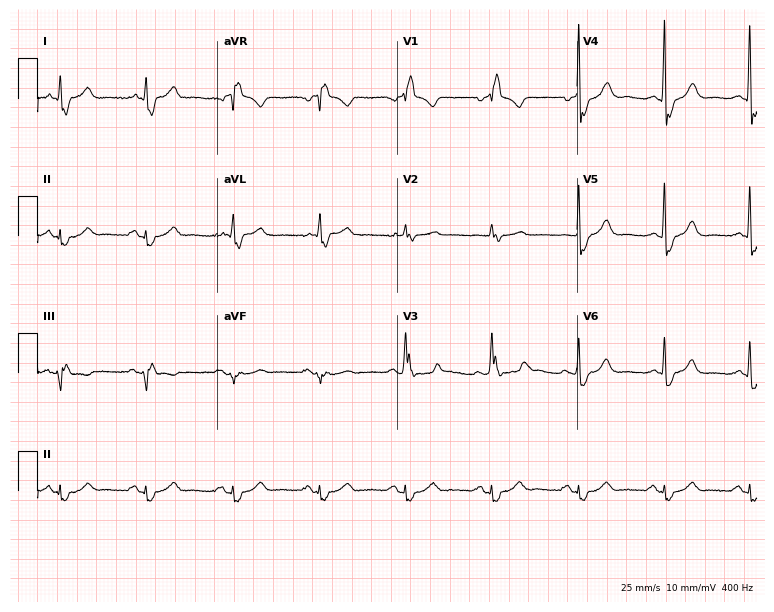
ECG (7.3-second recording at 400 Hz) — a 64-year-old male patient. Findings include right bundle branch block (RBBB).